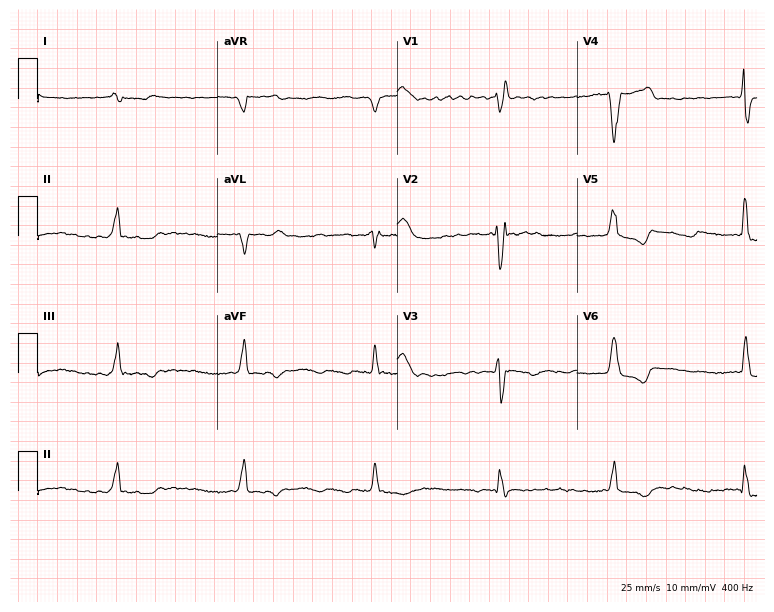
Resting 12-lead electrocardiogram (7.3-second recording at 400 Hz). Patient: a 70-year-old man. None of these six findings is recorded: first-degree AV block, right bundle branch block, left bundle branch block, sinus bradycardia, atrial fibrillation, sinus tachycardia. Findings outside these six are not listed.